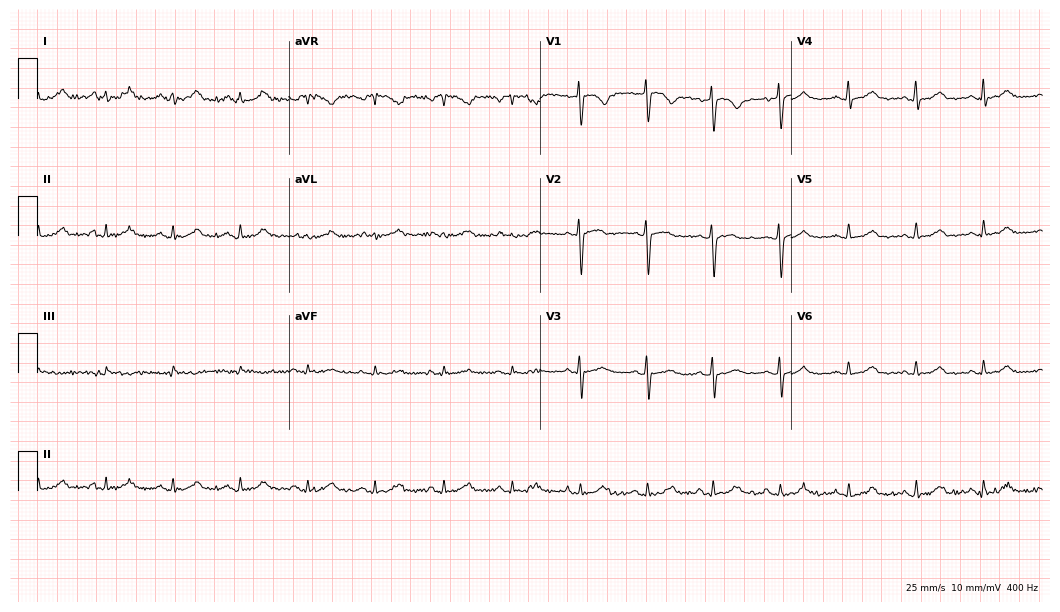
Electrocardiogram, a woman, 55 years old. Overall reading on record: normal ECG.